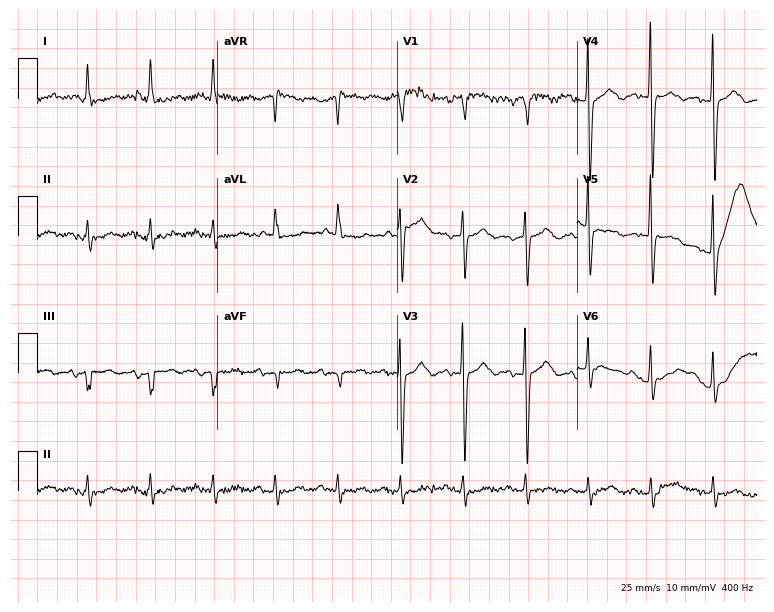
Resting 12-lead electrocardiogram. Patient: an 80-year-old woman. None of these six findings is recorded: first-degree AV block, right bundle branch block (RBBB), left bundle branch block (LBBB), sinus bradycardia, atrial fibrillation (AF), sinus tachycardia.